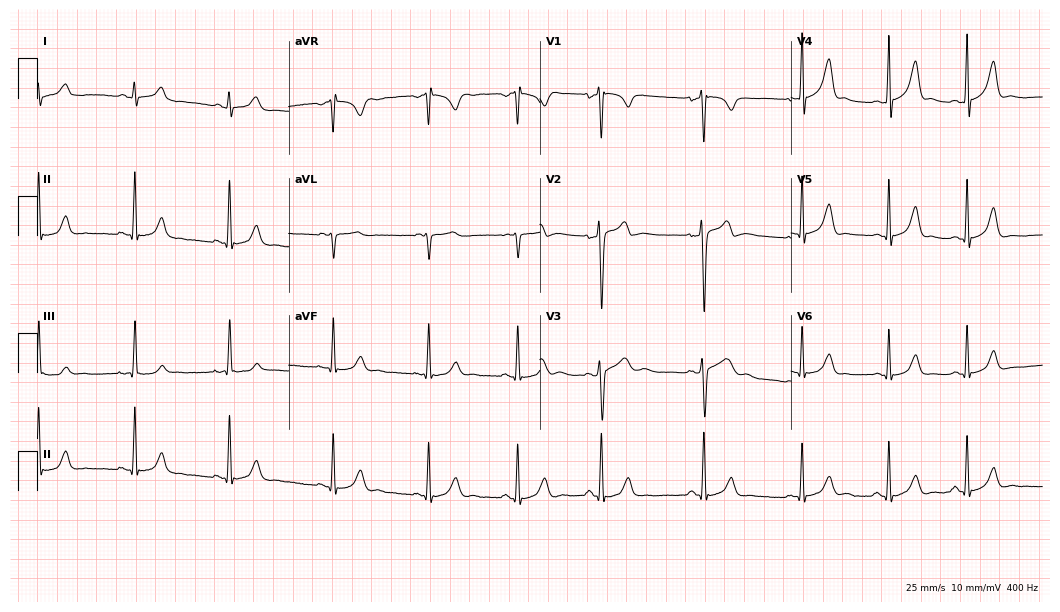
Standard 12-lead ECG recorded from a male, 26 years old (10.2-second recording at 400 Hz). Read as a normal ECG.